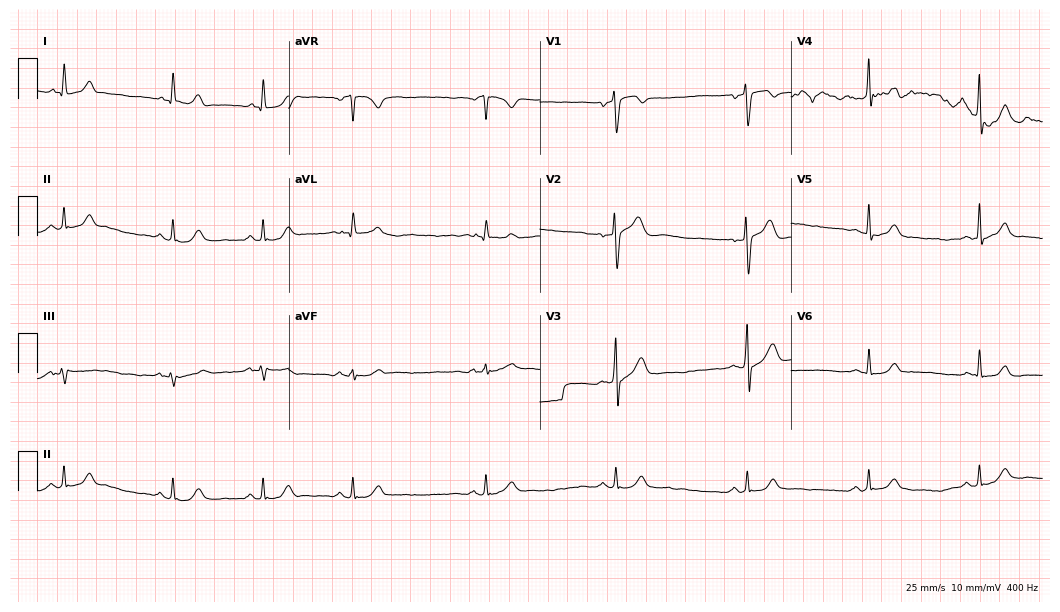
Resting 12-lead electrocardiogram. Patient: a 46-year-old male. Read as a normal ECG.